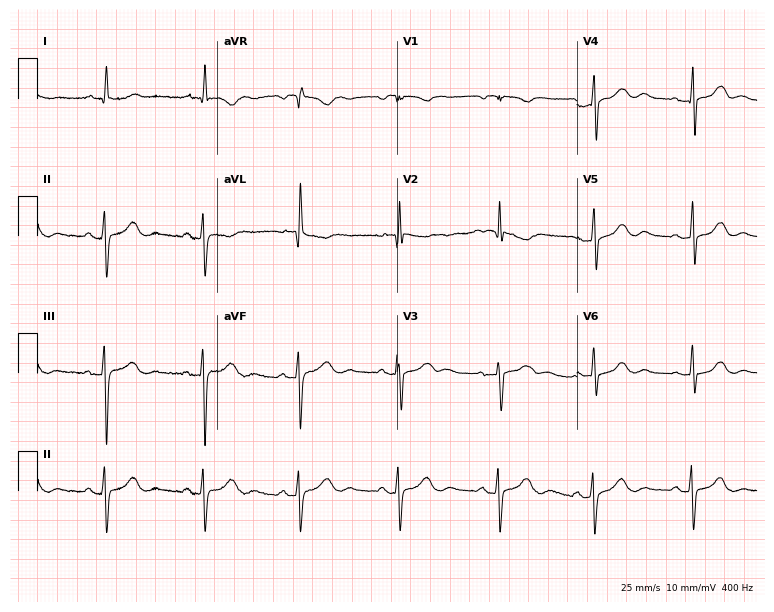
Electrocardiogram (7.3-second recording at 400 Hz), a female, 82 years old. Of the six screened findings (first-degree AV block, right bundle branch block, left bundle branch block, sinus bradycardia, atrial fibrillation, sinus tachycardia), none is recorded.